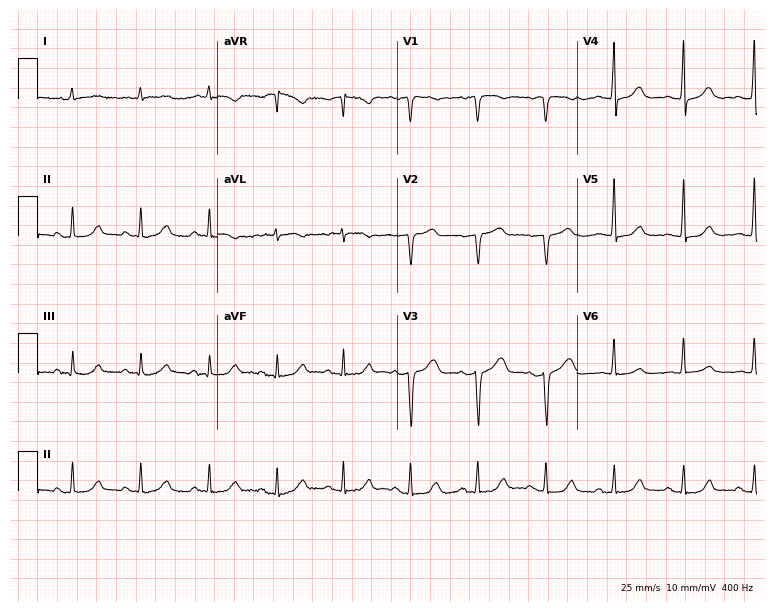
Electrocardiogram (7.3-second recording at 400 Hz), a female patient, 74 years old. Of the six screened findings (first-degree AV block, right bundle branch block (RBBB), left bundle branch block (LBBB), sinus bradycardia, atrial fibrillation (AF), sinus tachycardia), none is recorded. Only these six findings were labelled.